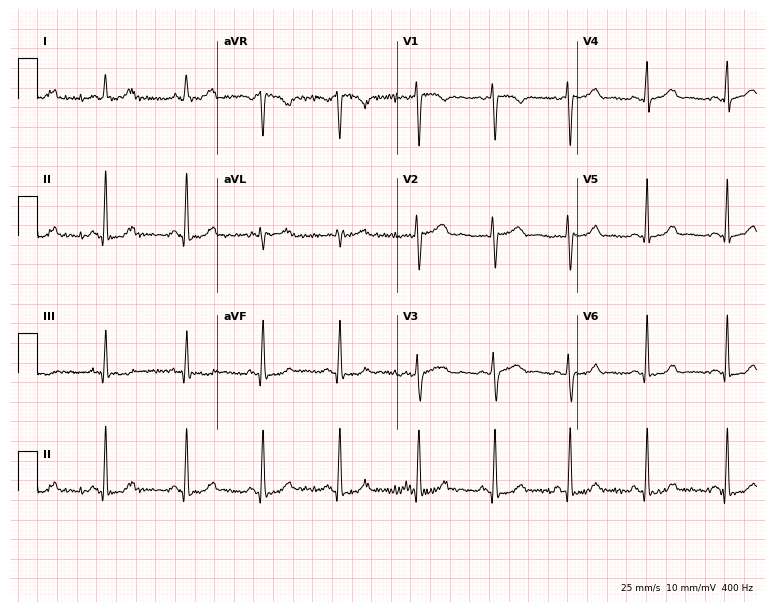
ECG — a 33-year-old woman. Labelled as a normal ECG.